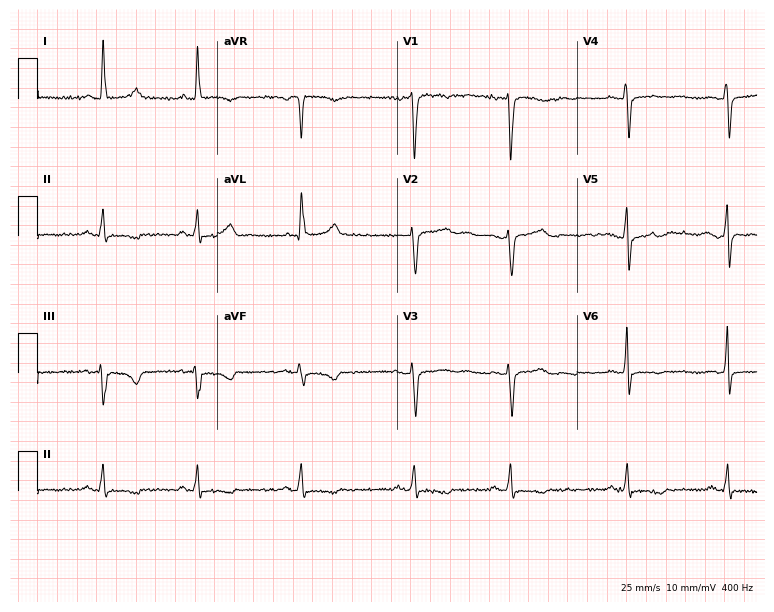
ECG — a 43-year-old female patient. Screened for six findings — first-degree AV block, right bundle branch block, left bundle branch block, sinus bradycardia, atrial fibrillation, sinus tachycardia — none is recorded. Only these six findings were labelled.